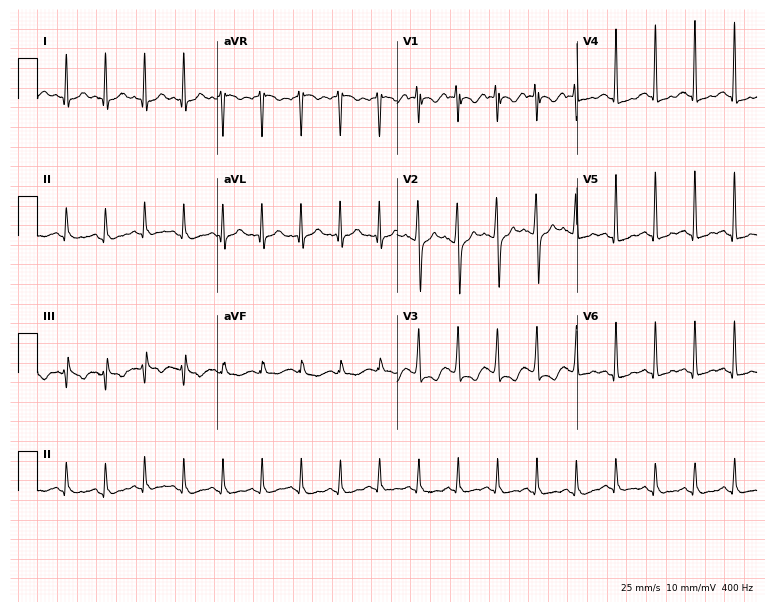
Electrocardiogram (7.3-second recording at 400 Hz), a female, 24 years old. Interpretation includes sinus tachycardia (a sinus rate of 100 beats per minute or more).